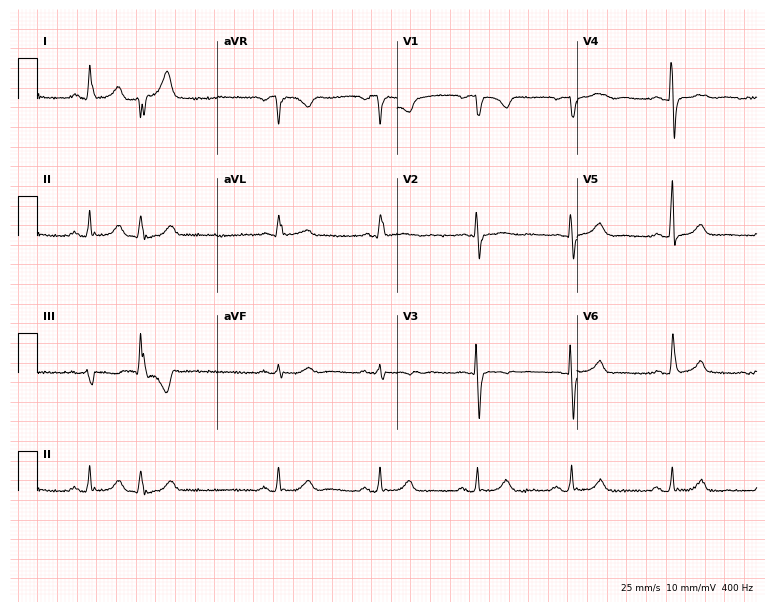
ECG (7.3-second recording at 400 Hz) — a female patient, 69 years old. Screened for six findings — first-degree AV block, right bundle branch block (RBBB), left bundle branch block (LBBB), sinus bradycardia, atrial fibrillation (AF), sinus tachycardia — none is recorded. Only these six findings were labelled.